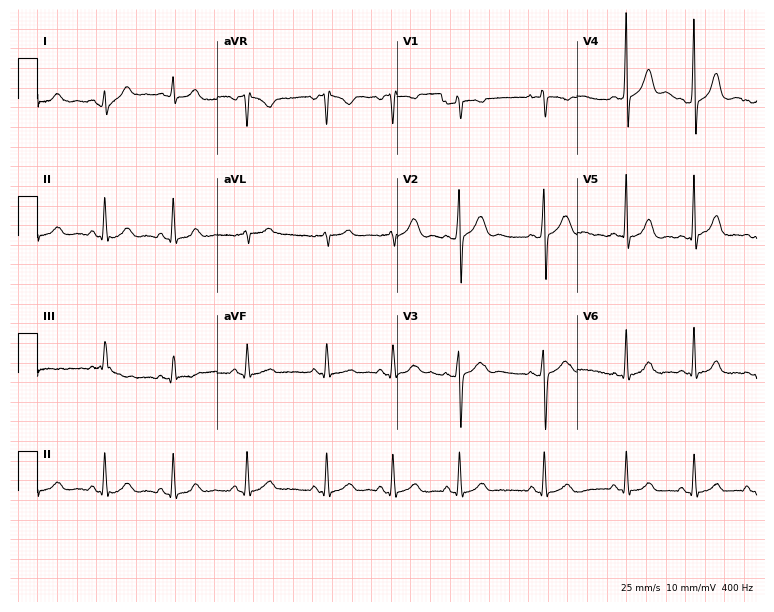
Standard 12-lead ECG recorded from a female patient, 17 years old. Read as a normal ECG.